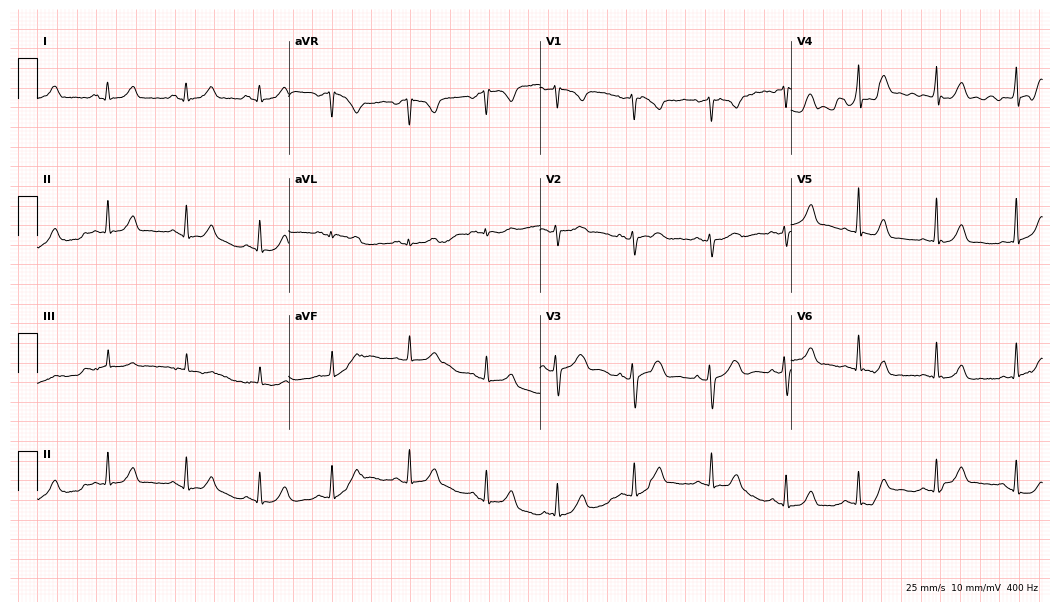
12-lead ECG (10.2-second recording at 400 Hz) from a female, 17 years old. Screened for six findings — first-degree AV block, right bundle branch block (RBBB), left bundle branch block (LBBB), sinus bradycardia, atrial fibrillation (AF), sinus tachycardia — none is recorded.